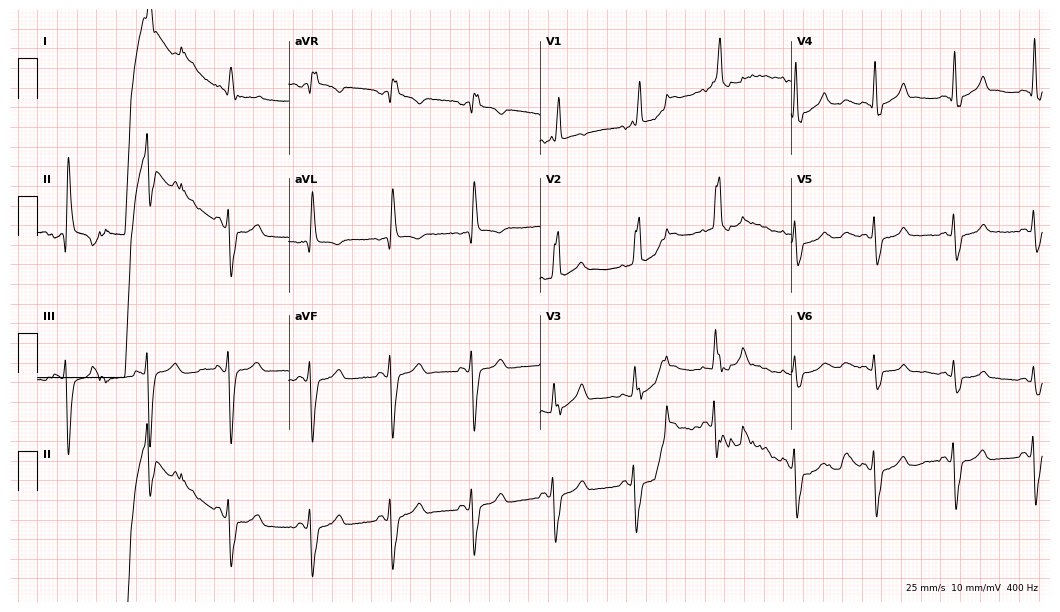
Standard 12-lead ECG recorded from a male, 73 years old. The tracing shows right bundle branch block (RBBB).